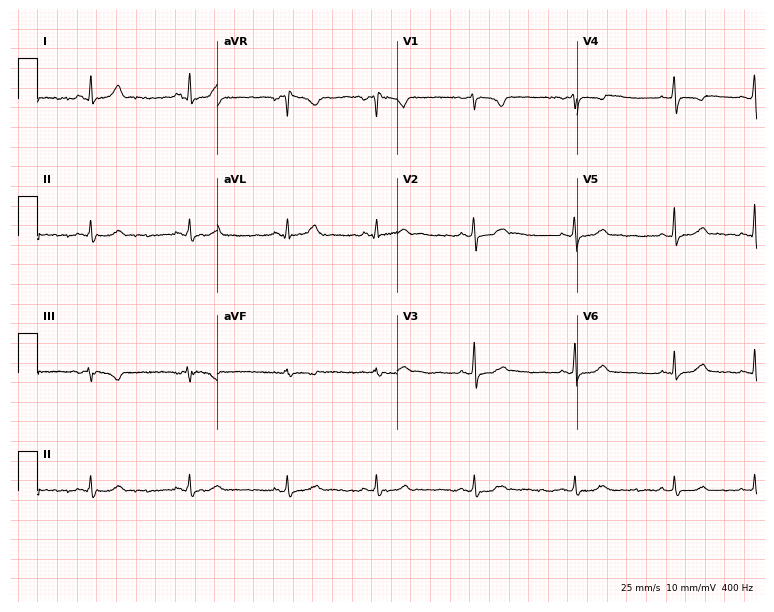
12-lead ECG from a female, 22 years old (7.3-second recording at 400 Hz). Recorded interpretation: within normal limits.